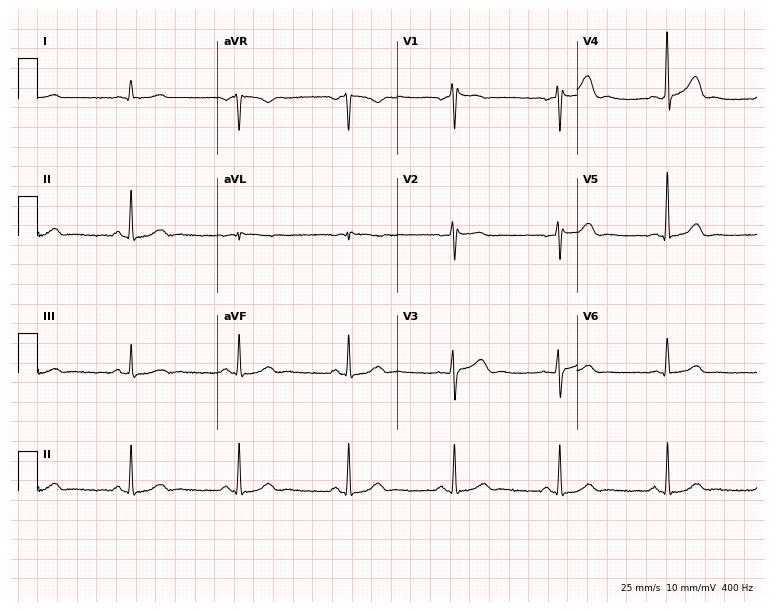
Resting 12-lead electrocardiogram. Patient: a 47-year-old man. None of these six findings is recorded: first-degree AV block, right bundle branch block (RBBB), left bundle branch block (LBBB), sinus bradycardia, atrial fibrillation (AF), sinus tachycardia. Only these six findings were labelled.